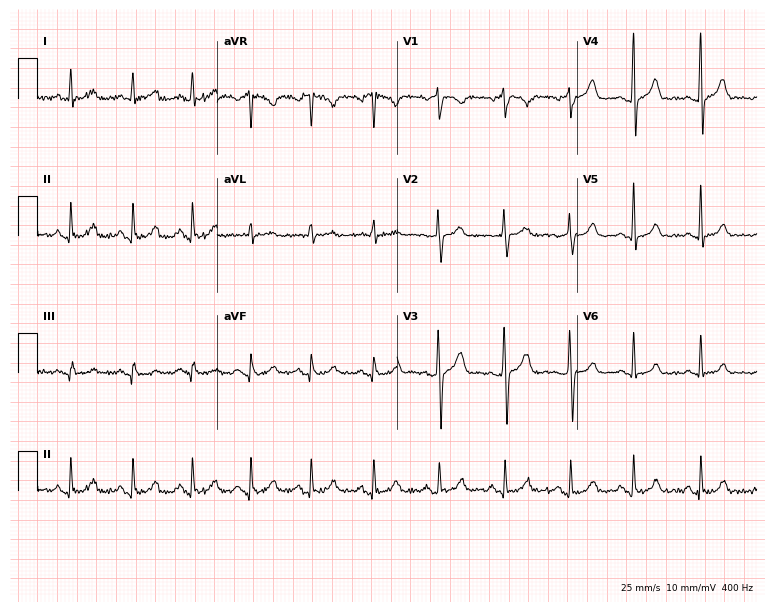
12-lead ECG from a 41-year-old male patient (7.3-second recording at 400 Hz). Recorded interpretation: within normal limits.